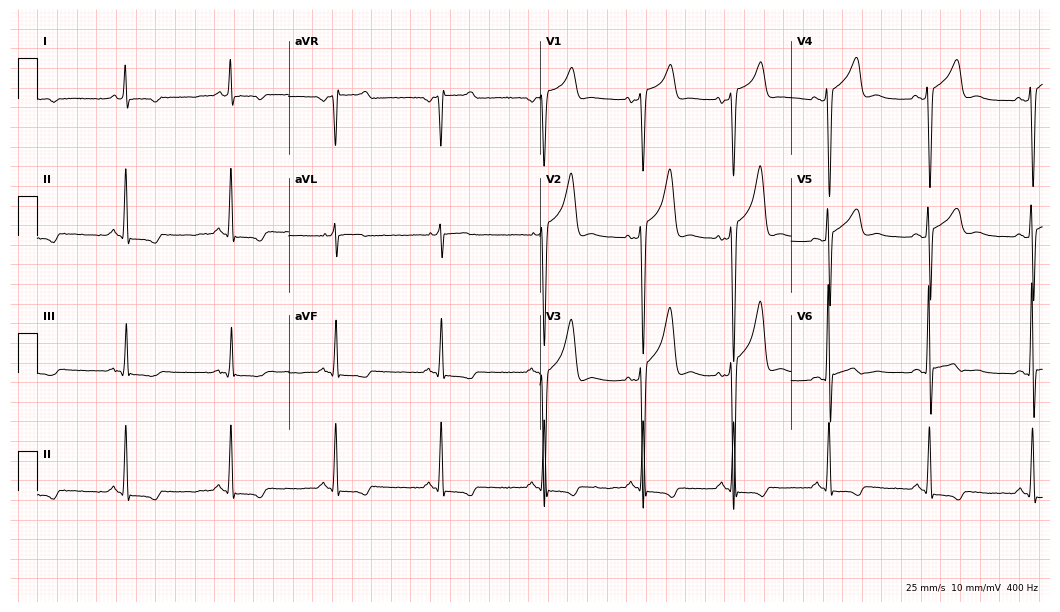
Resting 12-lead electrocardiogram. Patient: a male, 50 years old. None of these six findings is recorded: first-degree AV block, right bundle branch block, left bundle branch block, sinus bradycardia, atrial fibrillation, sinus tachycardia. Only these six findings were labelled.